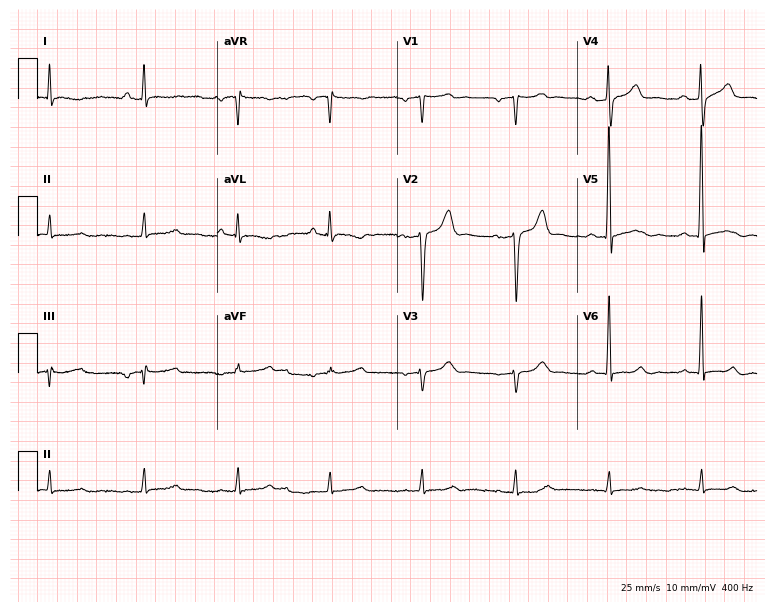
12-lead ECG from a 65-year-old male. No first-degree AV block, right bundle branch block, left bundle branch block, sinus bradycardia, atrial fibrillation or sinus tachycardia recorded for this tracing.